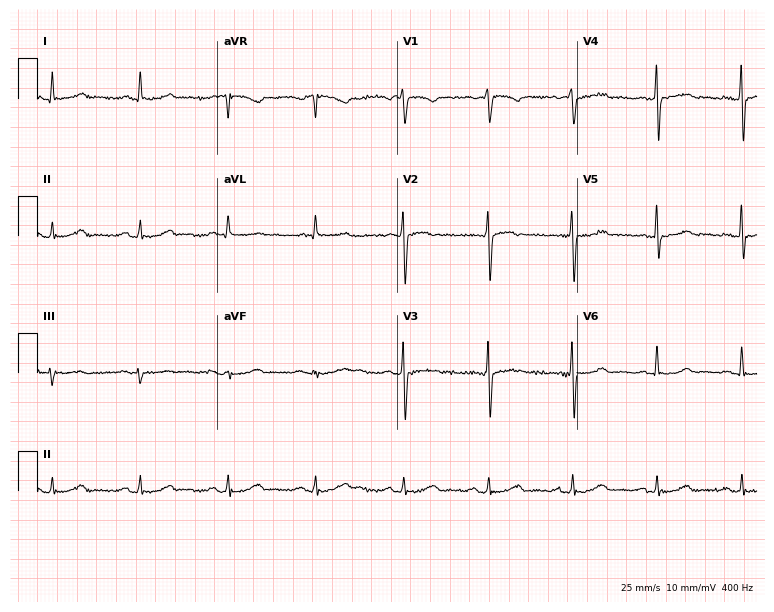
Standard 12-lead ECG recorded from a woman, 45 years old (7.3-second recording at 400 Hz). None of these six findings is recorded: first-degree AV block, right bundle branch block, left bundle branch block, sinus bradycardia, atrial fibrillation, sinus tachycardia. Findings outside these six are not listed.